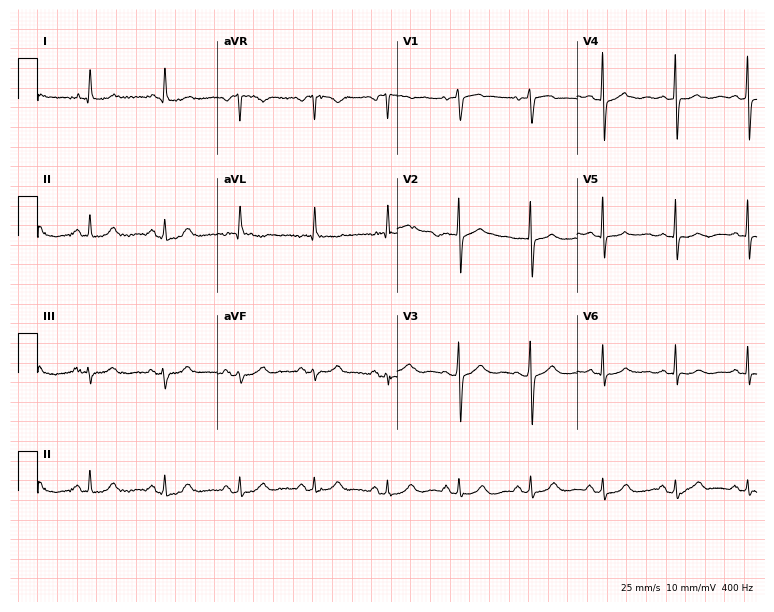
12-lead ECG from a female patient, 78 years old (7.3-second recording at 400 Hz). Recorded interpretation: within normal limits.